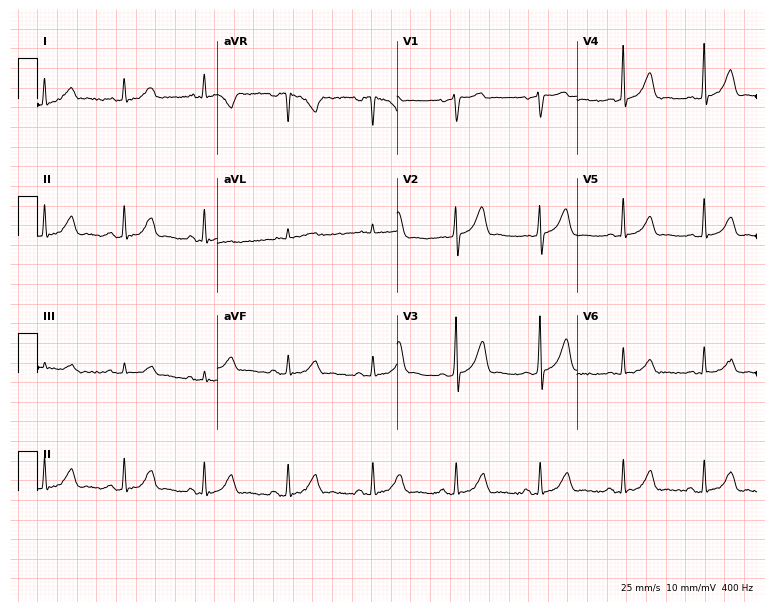
Electrocardiogram, a man, 62 years old. Of the six screened findings (first-degree AV block, right bundle branch block (RBBB), left bundle branch block (LBBB), sinus bradycardia, atrial fibrillation (AF), sinus tachycardia), none is recorded.